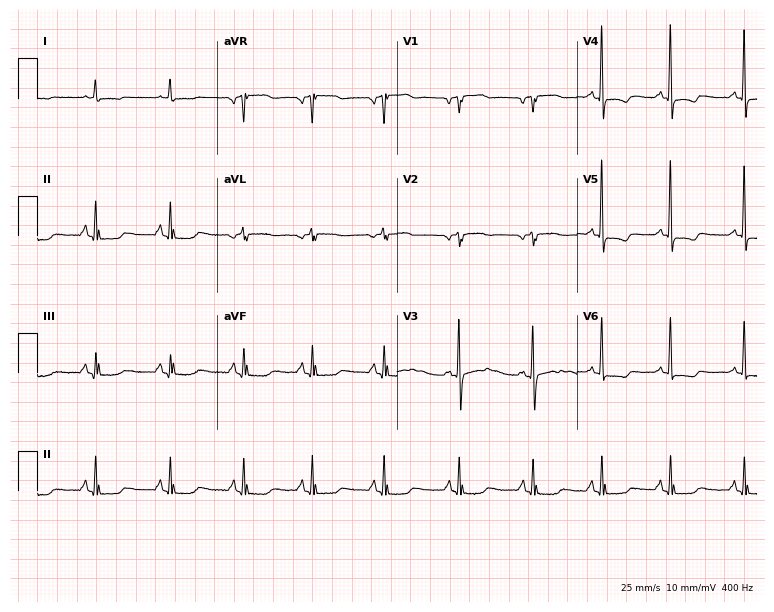
12-lead ECG from an 82-year-old female. Screened for six findings — first-degree AV block, right bundle branch block, left bundle branch block, sinus bradycardia, atrial fibrillation, sinus tachycardia — none is recorded.